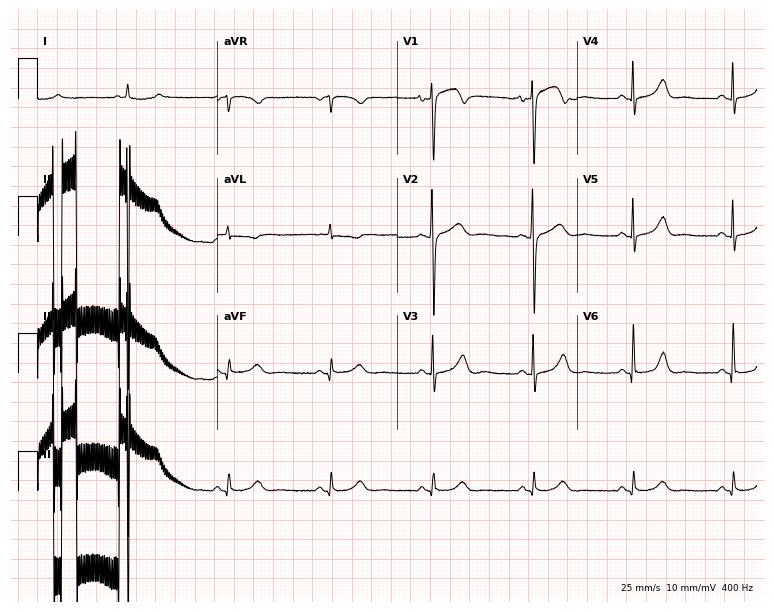
12-lead ECG from a 56-year-old man. No first-degree AV block, right bundle branch block, left bundle branch block, sinus bradycardia, atrial fibrillation or sinus tachycardia recorded for this tracing. Findings outside these six are not listed.